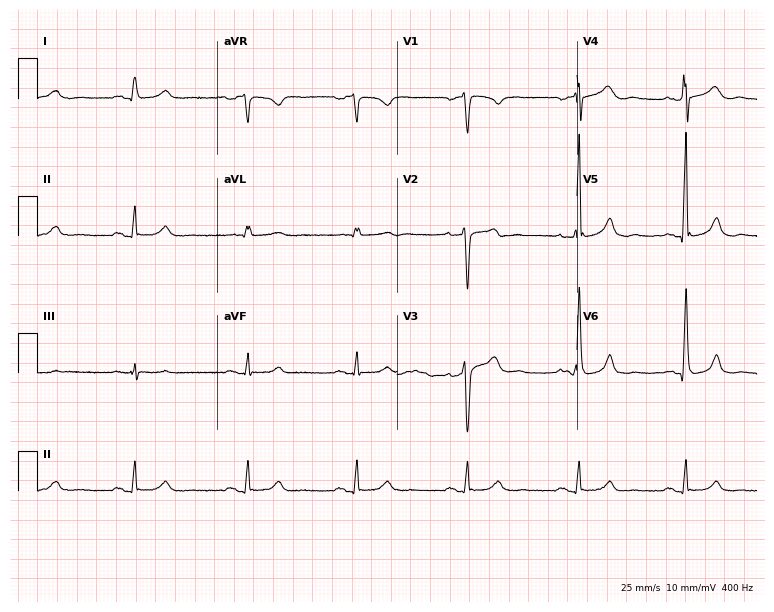
Electrocardiogram (7.3-second recording at 400 Hz), a male, 45 years old. Overall reading on record: normal ECG.